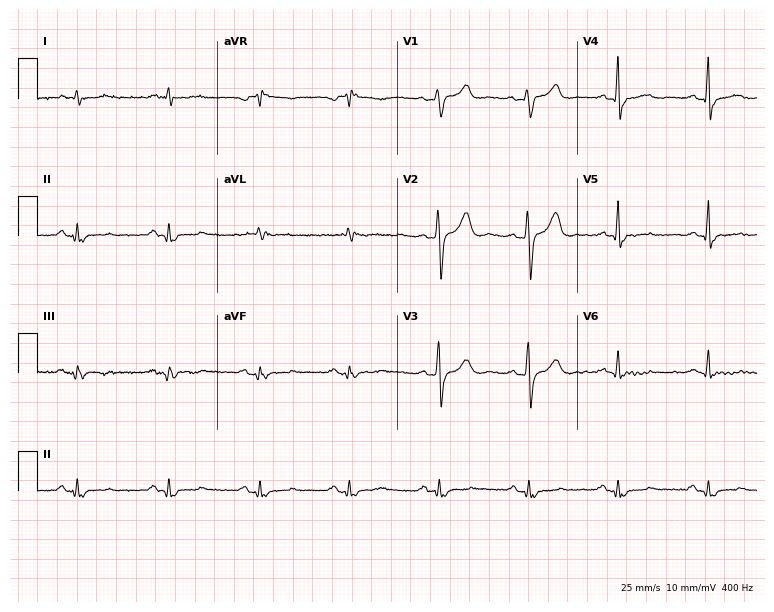
12-lead ECG from a 52-year-old male patient. Screened for six findings — first-degree AV block, right bundle branch block, left bundle branch block, sinus bradycardia, atrial fibrillation, sinus tachycardia — none is recorded. Other findings, if any, are not listed.